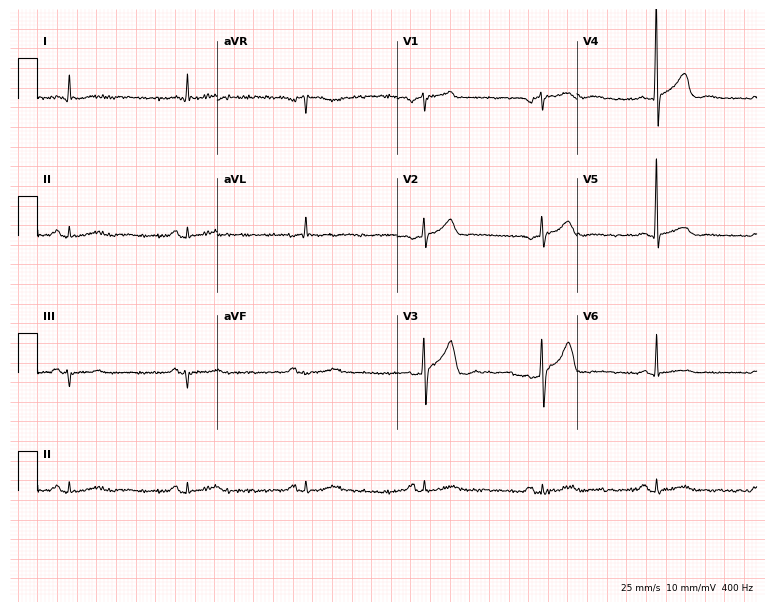
Standard 12-lead ECG recorded from a male, 73 years old. The tracing shows sinus bradycardia (a sinus rate of 50 beats per minute or less).